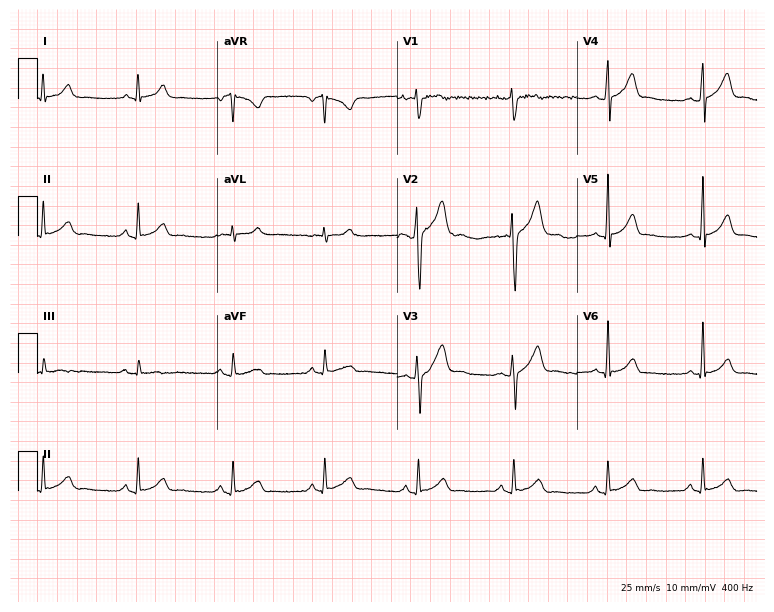
Standard 12-lead ECG recorded from a 31-year-old male patient. Read as a normal ECG.